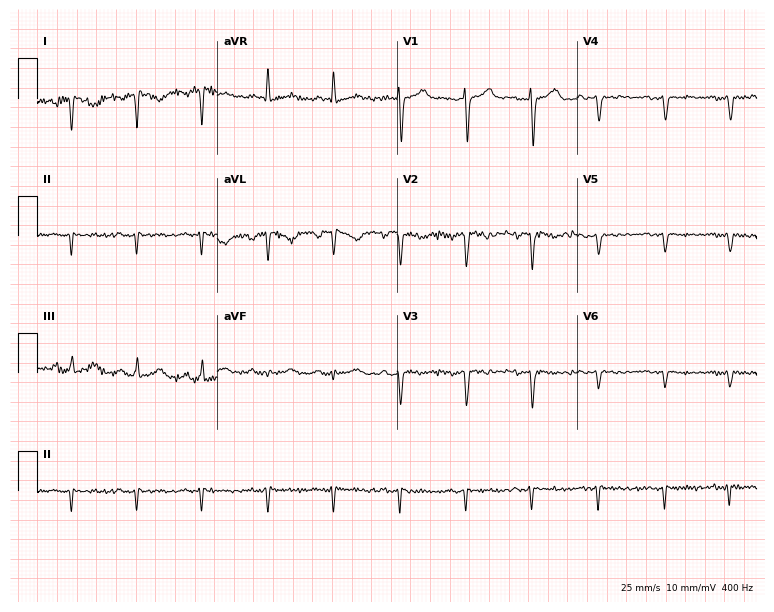
Standard 12-lead ECG recorded from a female patient, 40 years old. None of these six findings is recorded: first-degree AV block, right bundle branch block, left bundle branch block, sinus bradycardia, atrial fibrillation, sinus tachycardia.